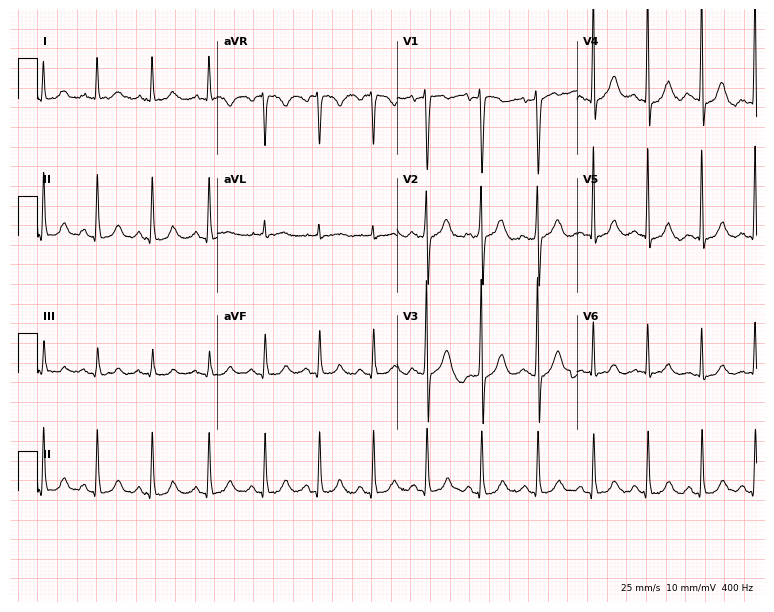
Standard 12-lead ECG recorded from a male, 83 years old (7.3-second recording at 400 Hz). The tracing shows sinus tachycardia (a sinus rate of 100 beats per minute or more).